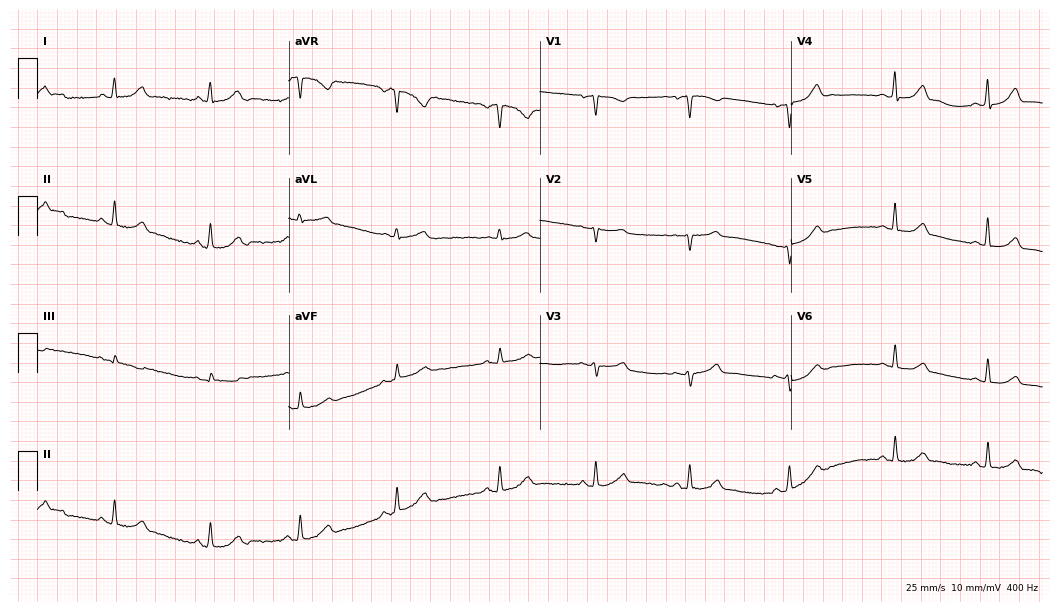
ECG (10.2-second recording at 400 Hz) — a woman, 39 years old. Labelled as a normal ECG.